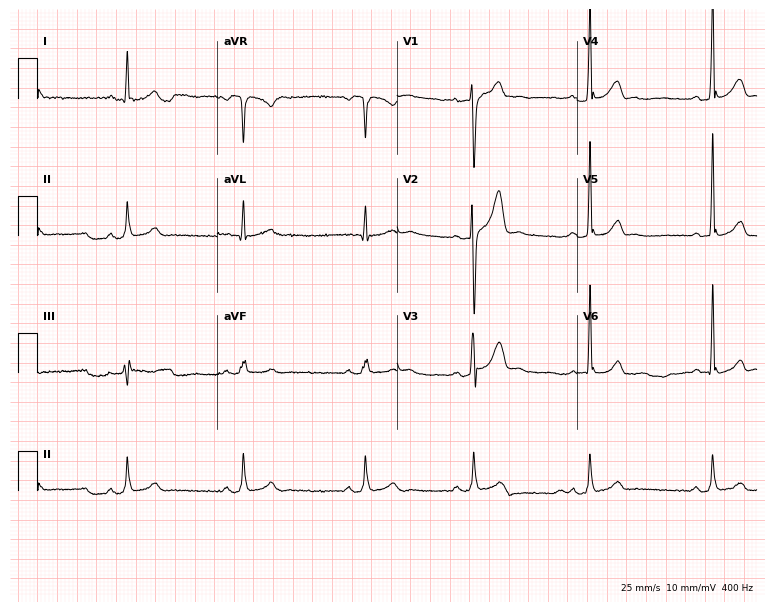
Resting 12-lead electrocardiogram (7.3-second recording at 400 Hz). Patient: a male, 27 years old. Read as a normal ECG.